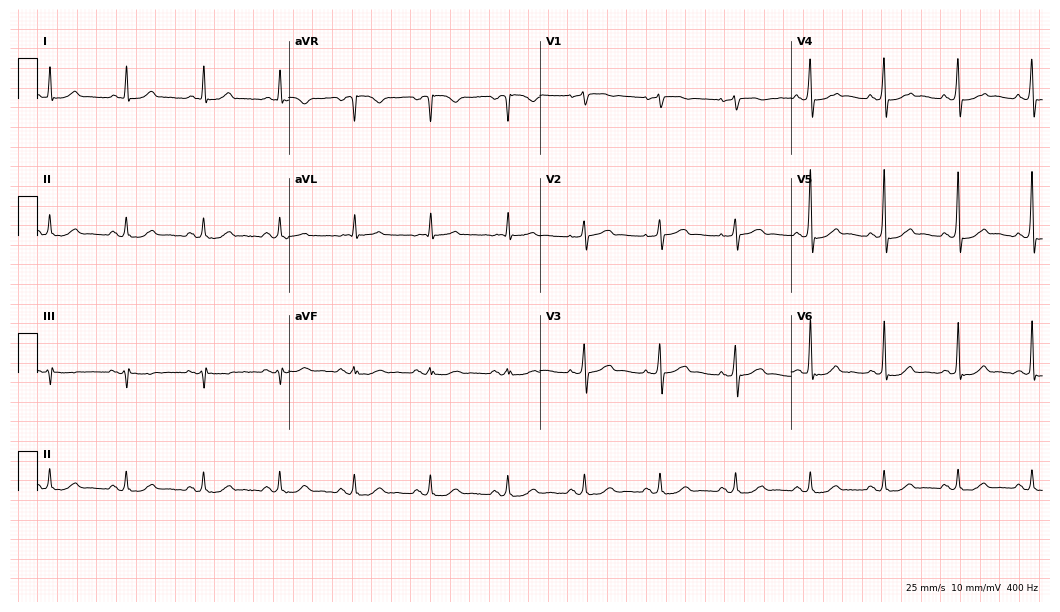
12-lead ECG from a 65-year-old male patient. Screened for six findings — first-degree AV block, right bundle branch block, left bundle branch block, sinus bradycardia, atrial fibrillation, sinus tachycardia — none is recorded.